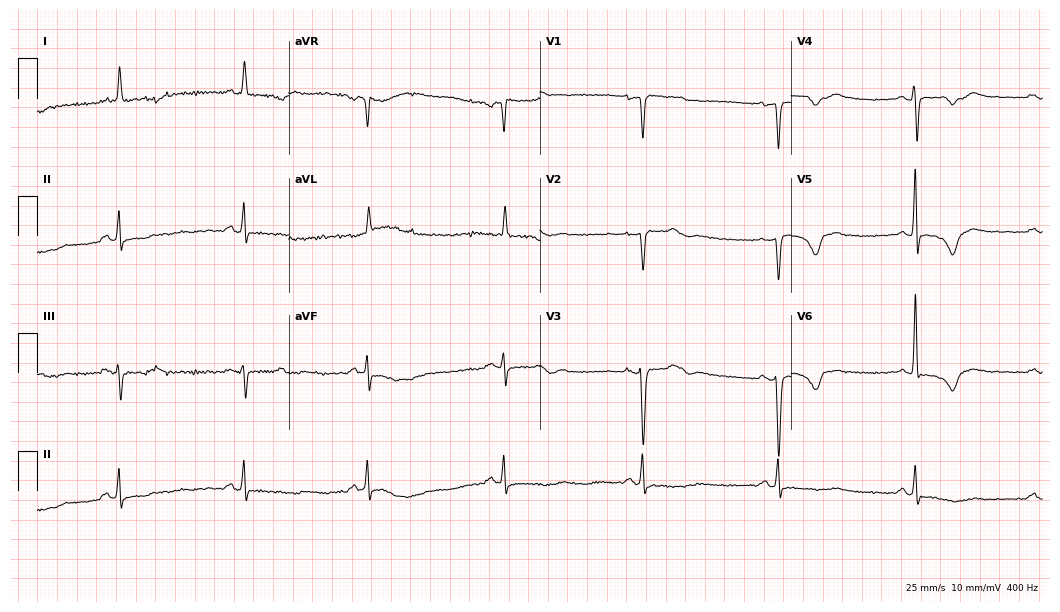
Resting 12-lead electrocardiogram (10.2-second recording at 400 Hz). Patient: a female, 77 years old. Read as a normal ECG.